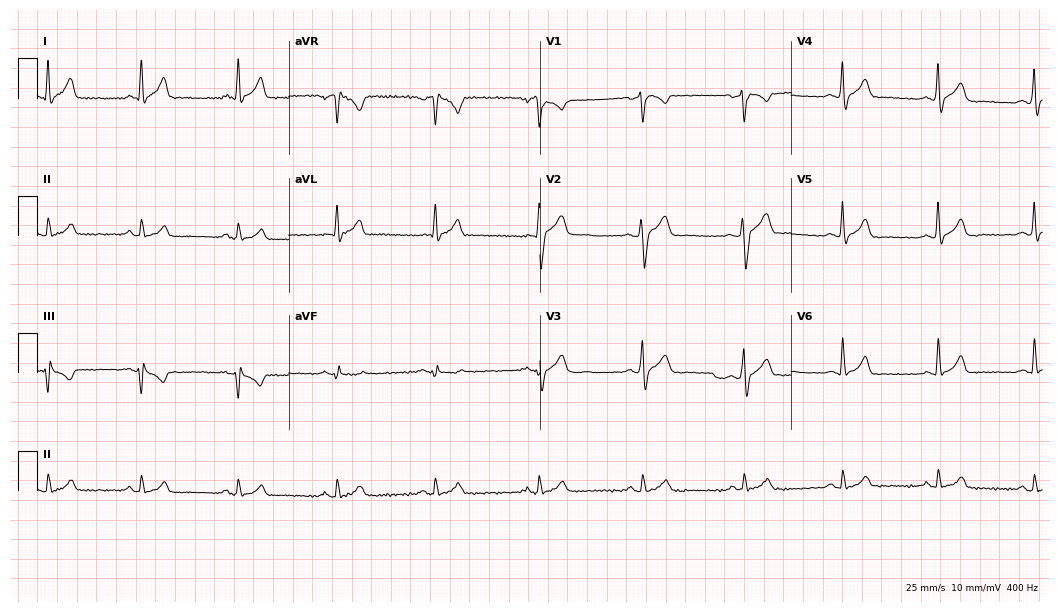
12-lead ECG from a male, 44 years old. Recorded interpretation: within normal limits.